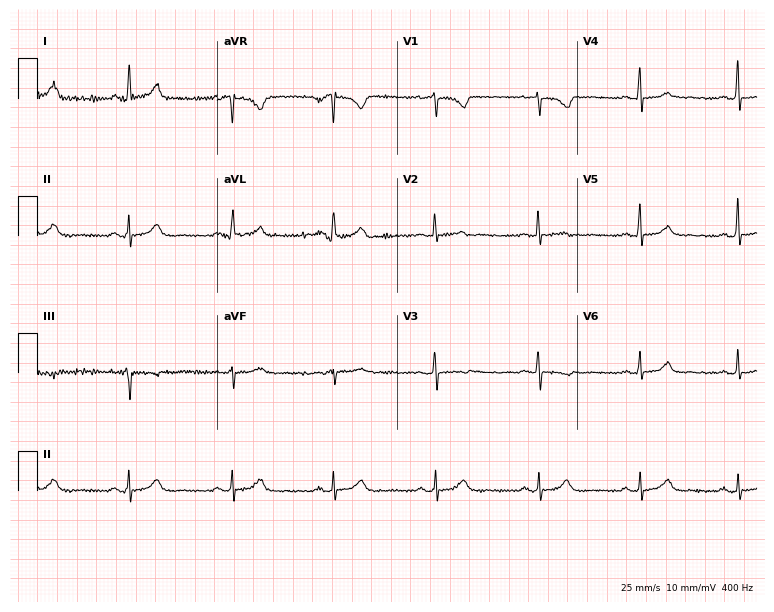
12-lead ECG from a female, 55 years old (7.3-second recording at 400 Hz). No first-degree AV block, right bundle branch block, left bundle branch block, sinus bradycardia, atrial fibrillation or sinus tachycardia recorded for this tracing.